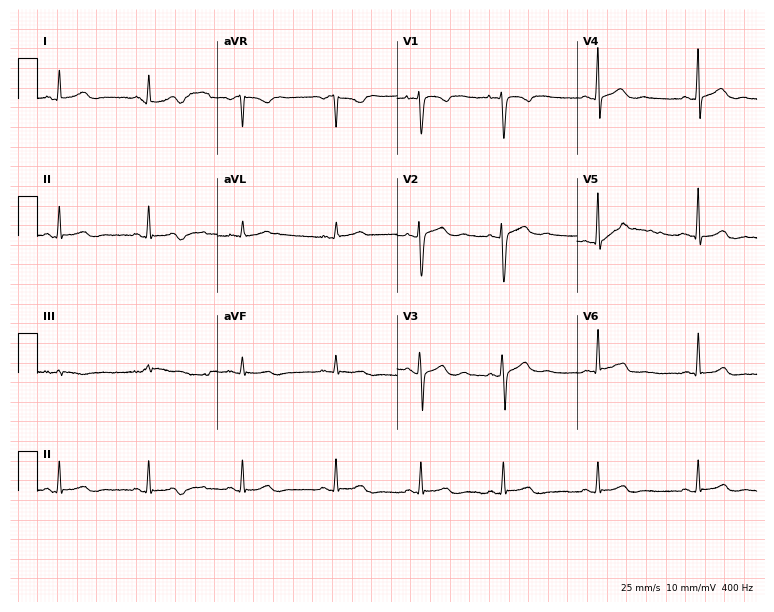
ECG (7.3-second recording at 400 Hz) — a female, 34 years old. Screened for six findings — first-degree AV block, right bundle branch block (RBBB), left bundle branch block (LBBB), sinus bradycardia, atrial fibrillation (AF), sinus tachycardia — none is recorded. Other findings, if any, are not listed.